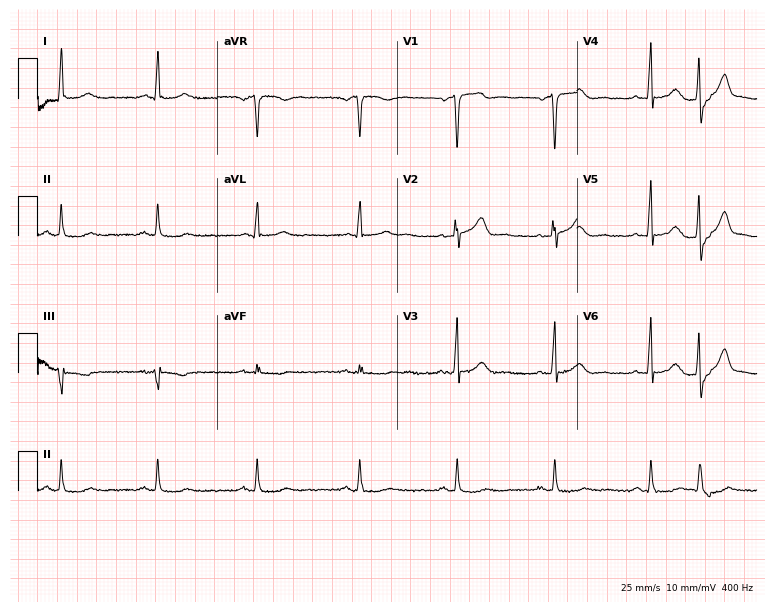
12-lead ECG from a 53-year-old male (7.3-second recording at 400 Hz). No first-degree AV block, right bundle branch block (RBBB), left bundle branch block (LBBB), sinus bradycardia, atrial fibrillation (AF) or sinus tachycardia recorded for this tracing.